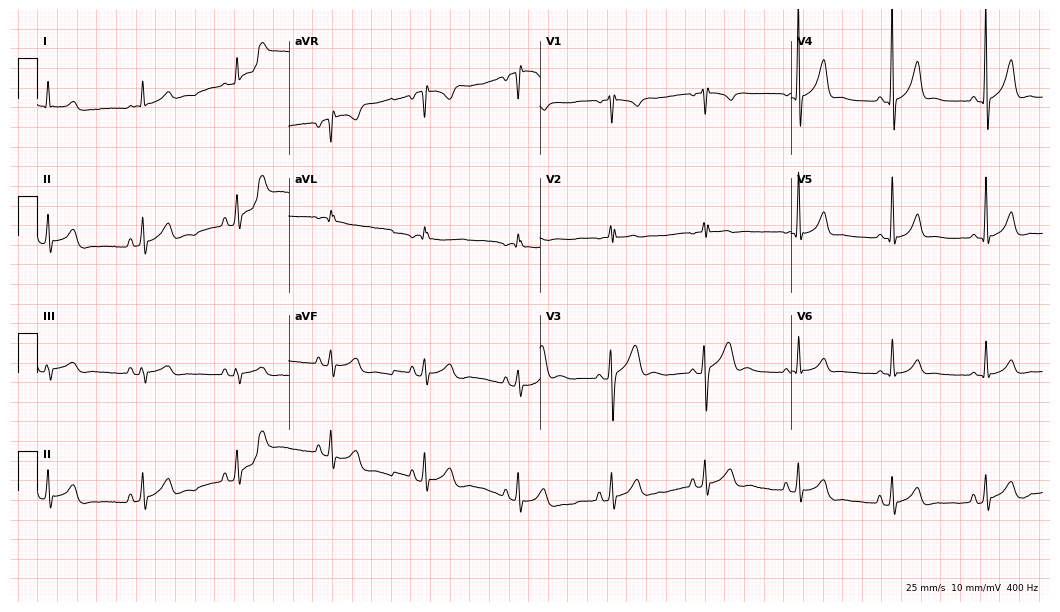
12-lead ECG from a man, 17 years old. Recorded interpretation: within normal limits.